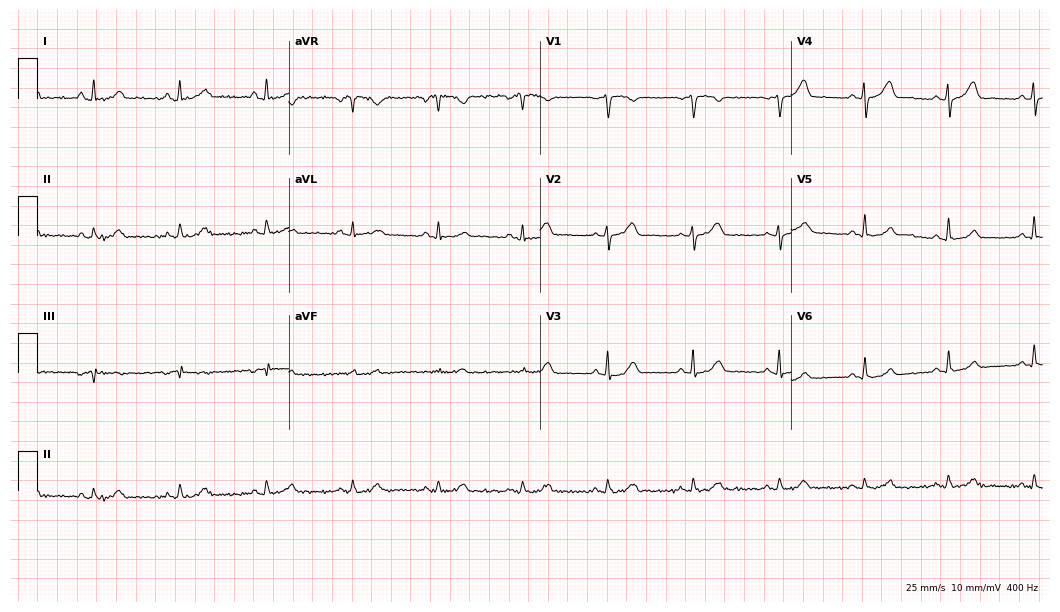
Standard 12-lead ECG recorded from a woman, 50 years old (10.2-second recording at 400 Hz). None of these six findings is recorded: first-degree AV block, right bundle branch block, left bundle branch block, sinus bradycardia, atrial fibrillation, sinus tachycardia. Other findings, if any, are not listed.